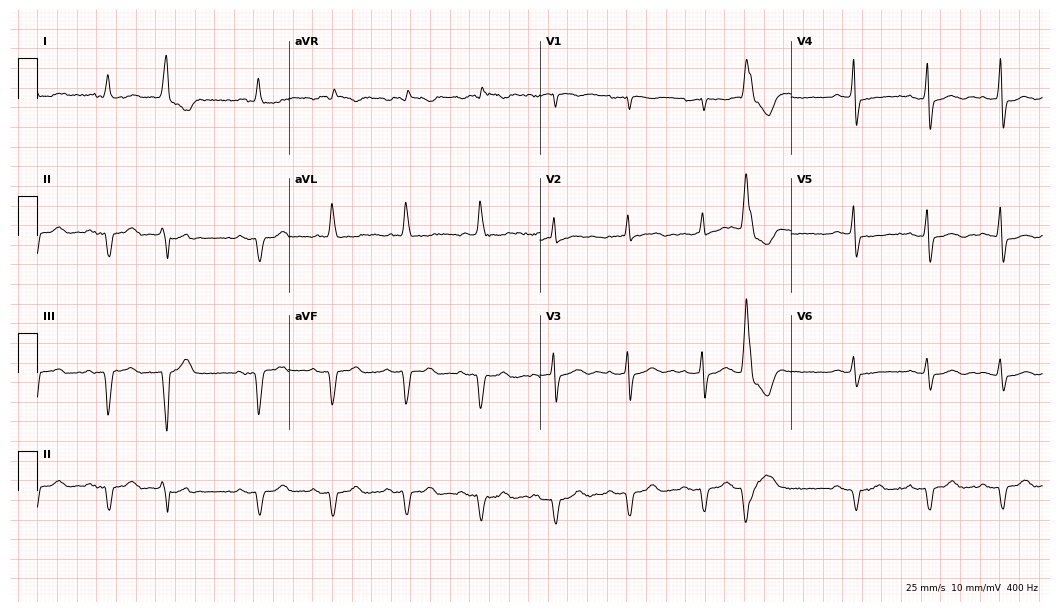
Electrocardiogram (10.2-second recording at 400 Hz), a 77-year-old male patient. Of the six screened findings (first-degree AV block, right bundle branch block (RBBB), left bundle branch block (LBBB), sinus bradycardia, atrial fibrillation (AF), sinus tachycardia), none is recorded.